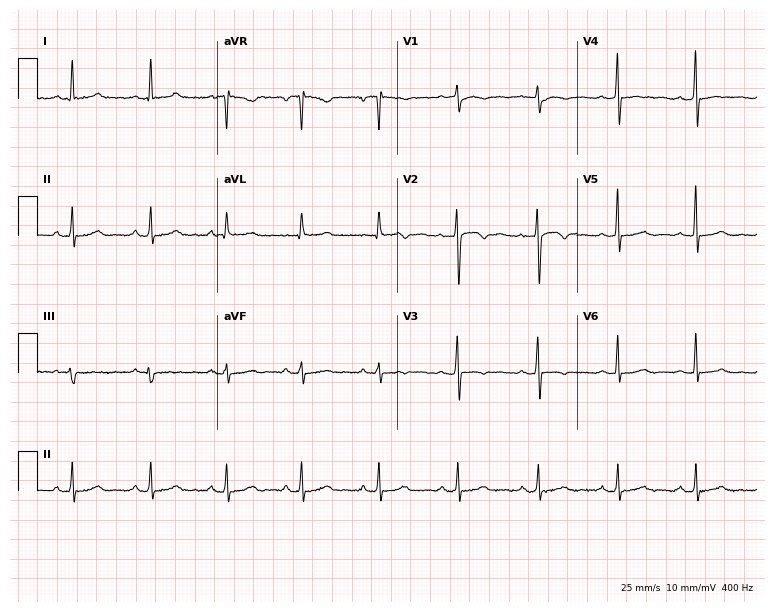
Standard 12-lead ECG recorded from a female, 31 years old. Read as a normal ECG.